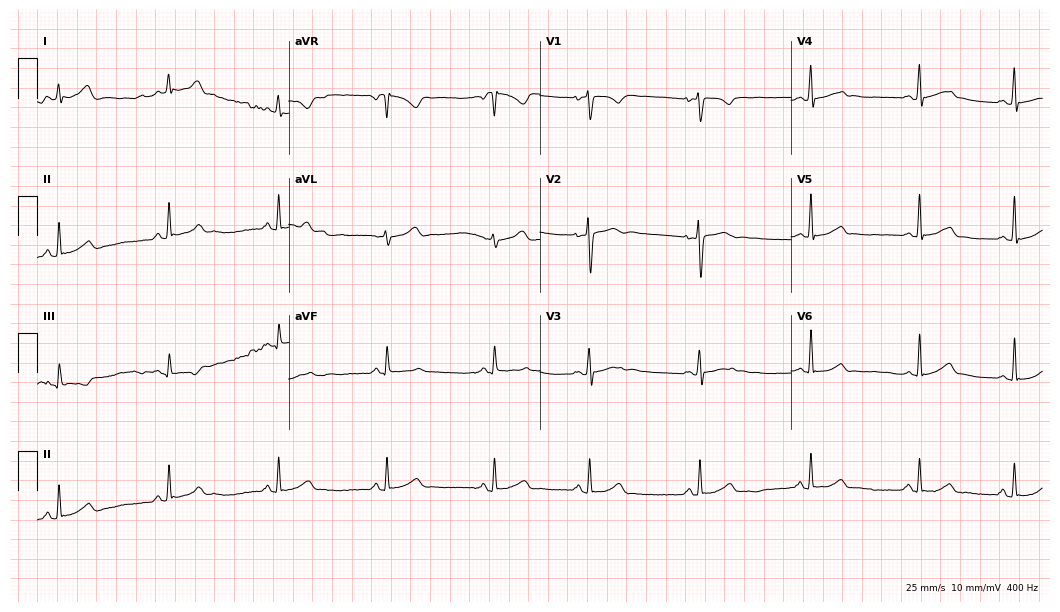
ECG (10.2-second recording at 400 Hz) — a female patient, 22 years old. Labelled as a normal ECG.